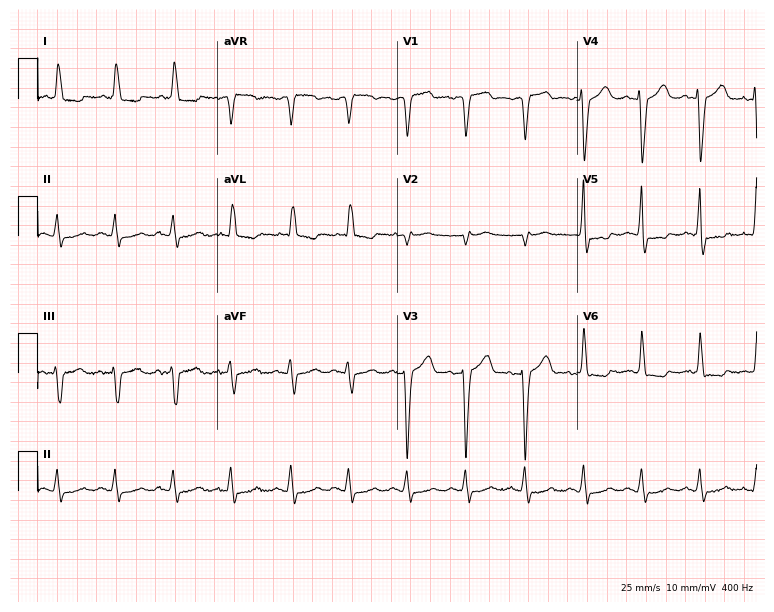
Resting 12-lead electrocardiogram (7.3-second recording at 400 Hz). Patient: a male, 75 years old. None of these six findings is recorded: first-degree AV block, right bundle branch block (RBBB), left bundle branch block (LBBB), sinus bradycardia, atrial fibrillation (AF), sinus tachycardia. Other findings, if any, are not listed.